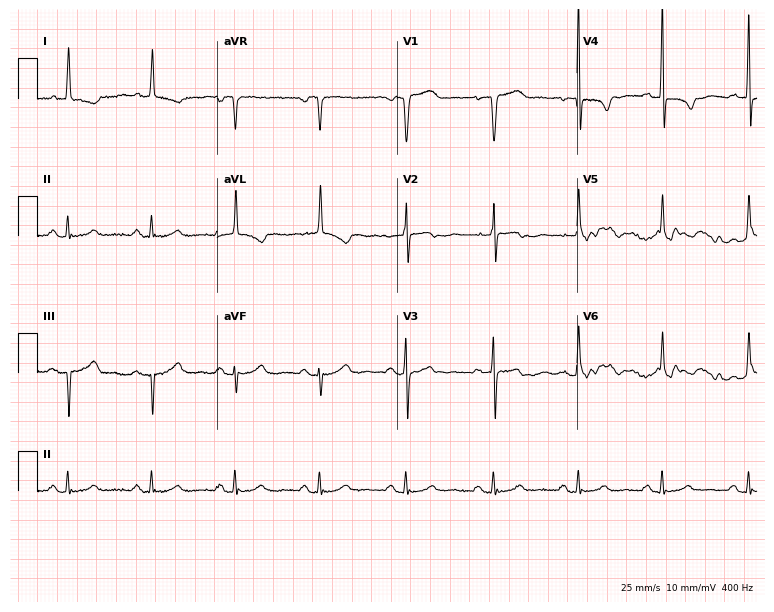
Resting 12-lead electrocardiogram. Patient: a female, 82 years old. None of these six findings is recorded: first-degree AV block, right bundle branch block, left bundle branch block, sinus bradycardia, atrial fibrillation, sinus tachycardia.